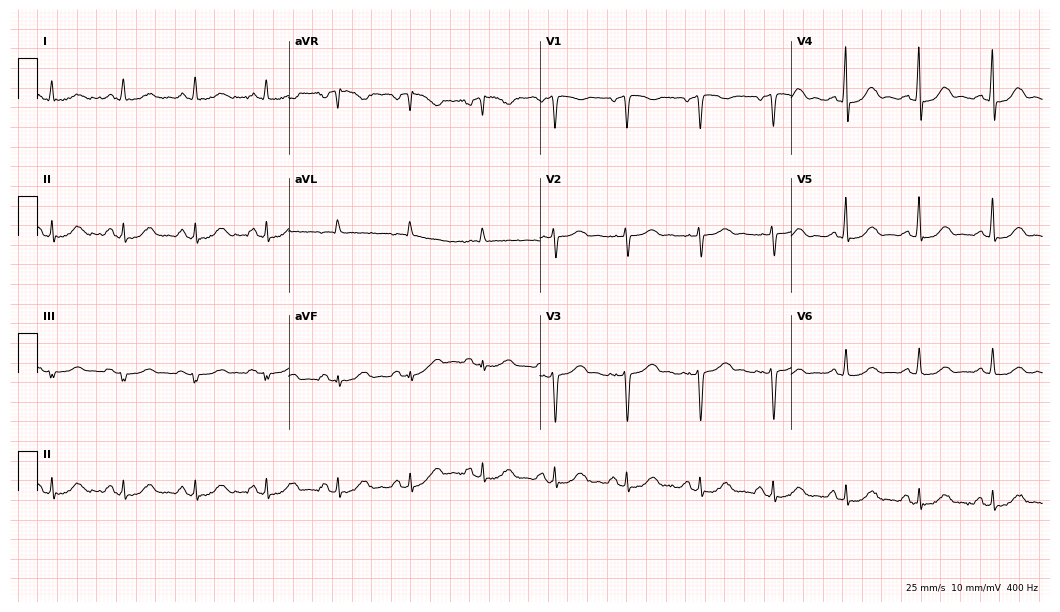
Resting 12-lead electrocardiogram. Patient: a 59-year-old female. None of these six findings is recorded: first-degree AV block, right bundle branch block, left bundle branch block, sinus bradycardia, atrial fibrillation, sinus tachycardia. Other findings, if any, are not listed.